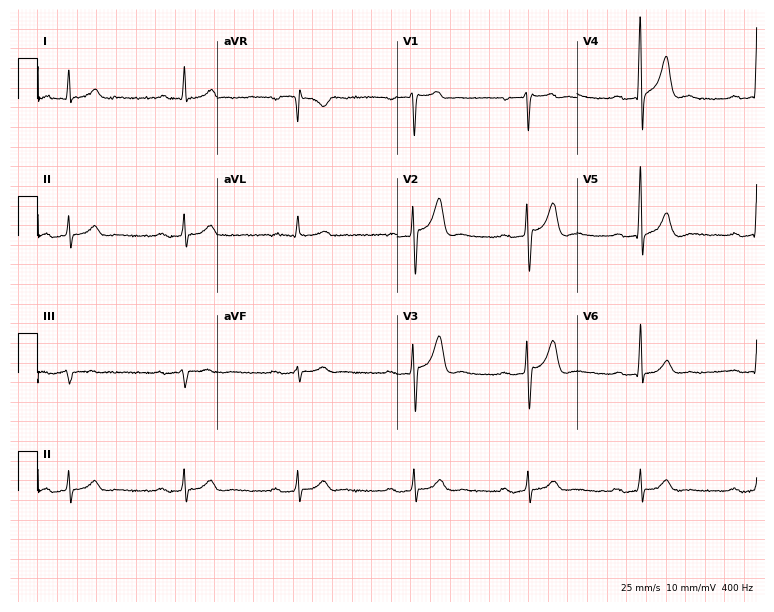
Standard 12-lead ECG recorded from a 64-year-old male (7.3-second recording at 400 Hz). None of these six findings is recorded: first-degree AV block, right bundle branch block, left bundle branch block, sinus bradycardia, atrial fibrillation, sinus tachycardia.